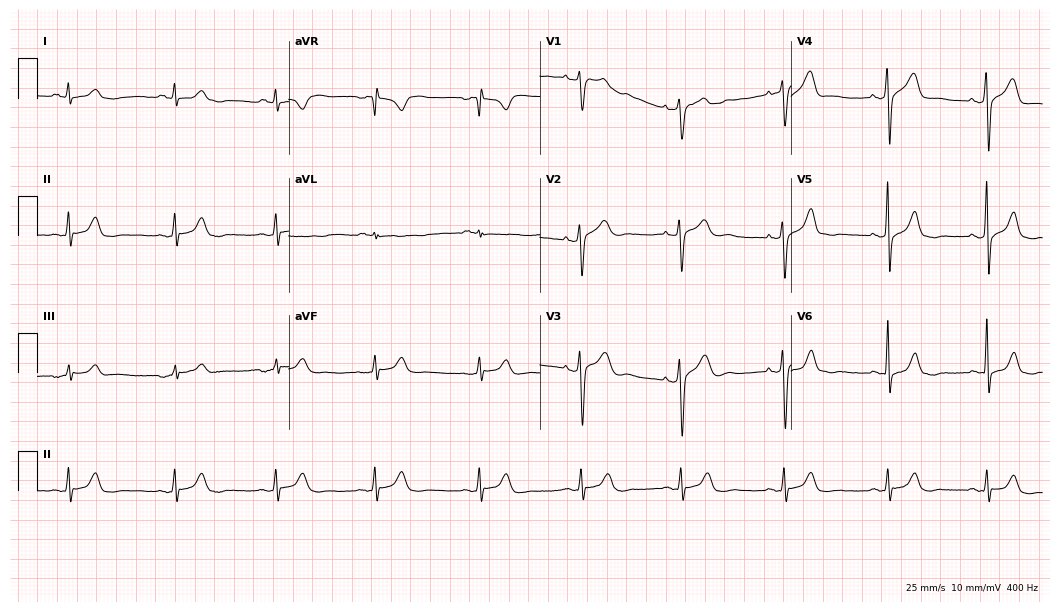
12-lead ECG from a 67-year-old male. Labelled as a normal ECG.